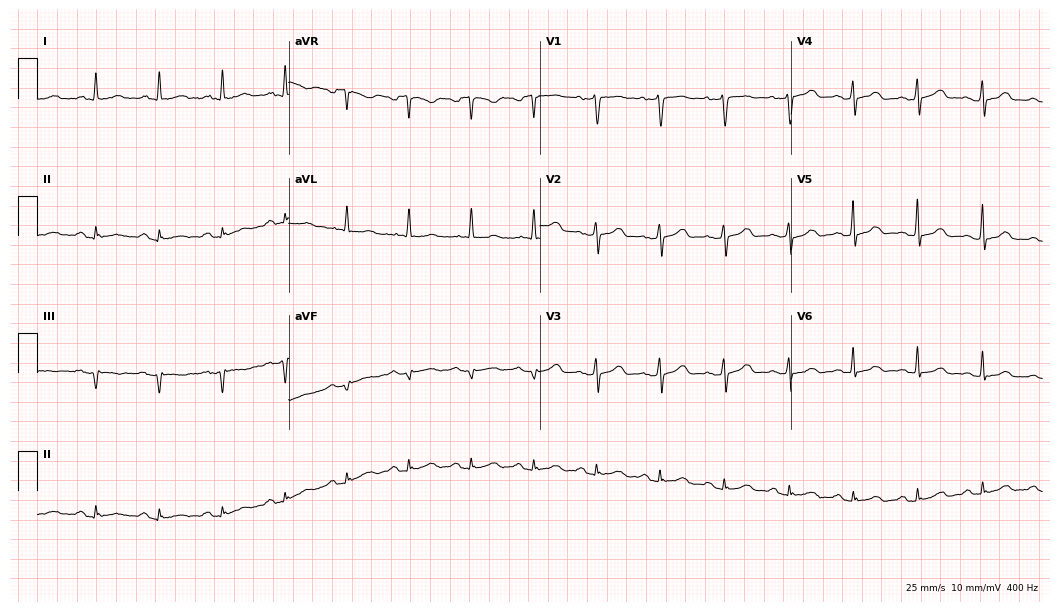
Electrocardiogram (10.2-second recording at 400 Hz), a female patient, 61 years old. Overall reading on record: normal ECG.